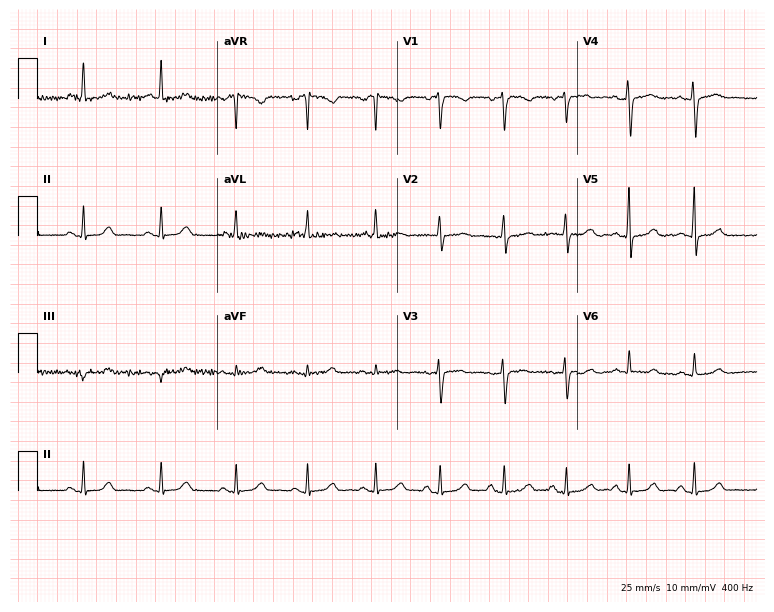
12-lead ECG from a 54-year-old female (7.3-second recording at 400 Hz). No first-degree AV block, right bundle branch block, left bundle branch block, sinus bradycardia, atrial fibrillation or sinus tachycardia recorded for this tracing.